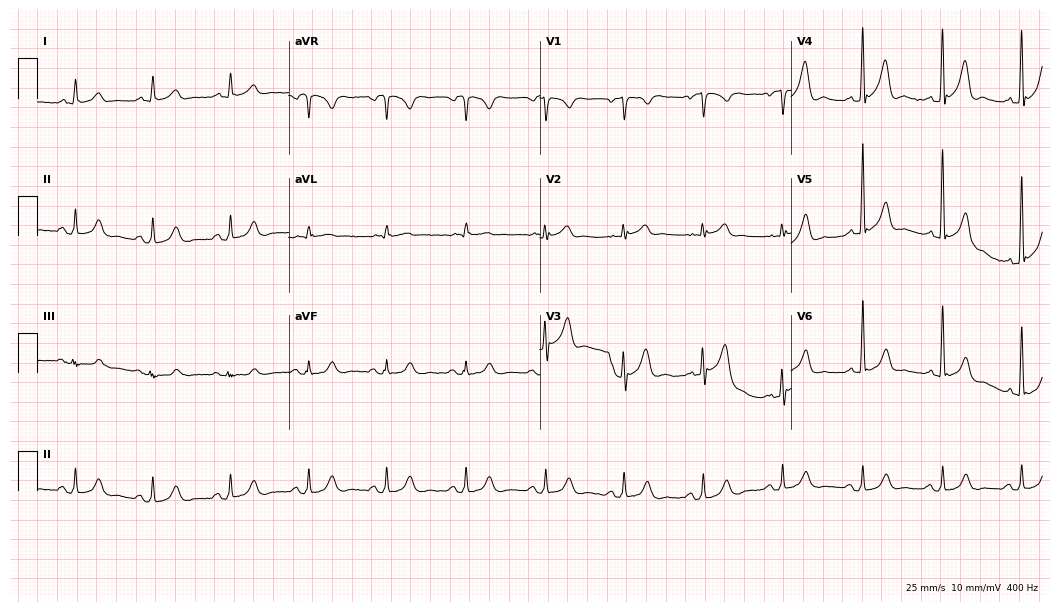
Resting 12-lead electrocardiogram. Patient: a male, 73 years old. Read as a normal ECG.